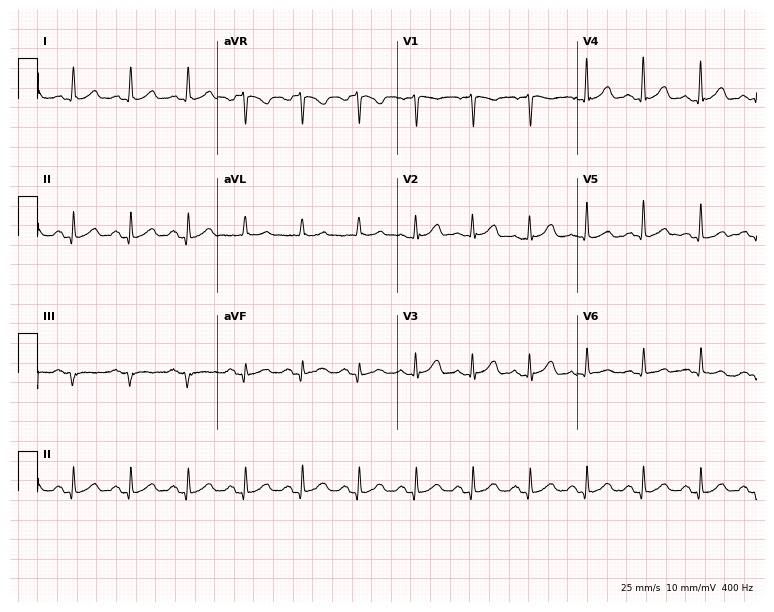
Standard 12-lead ECG recorded from a 70-year-old man (7.3-second recording at 400 Hz). The tracing shows sinus tachycardia (a sinus rate of 100 beats per minute or more).